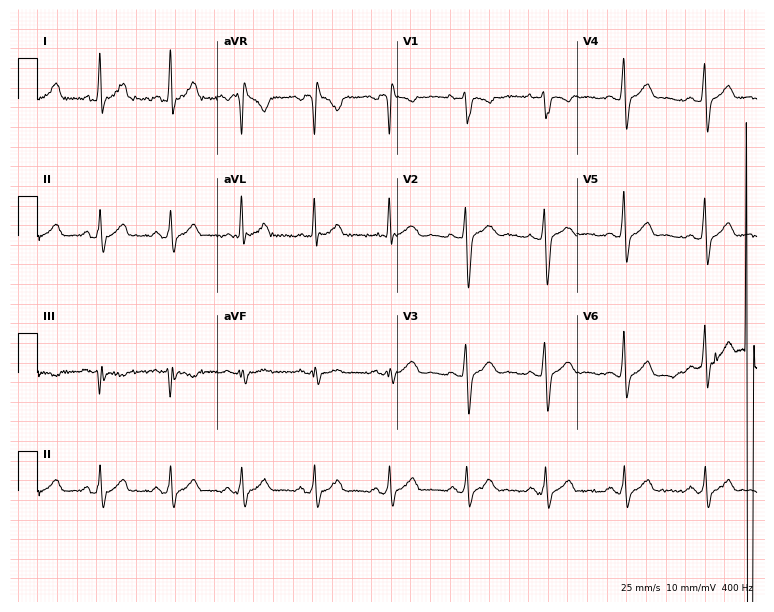
ECG (7.3-second recording at 400 Hz) — a man, 26 years old. Screened for six findings — first-degree AV block, right bundle branch block, left bundle branch block, sinus bradycardia, atrial fibrillation, sinus tachycardia — none is recorded.